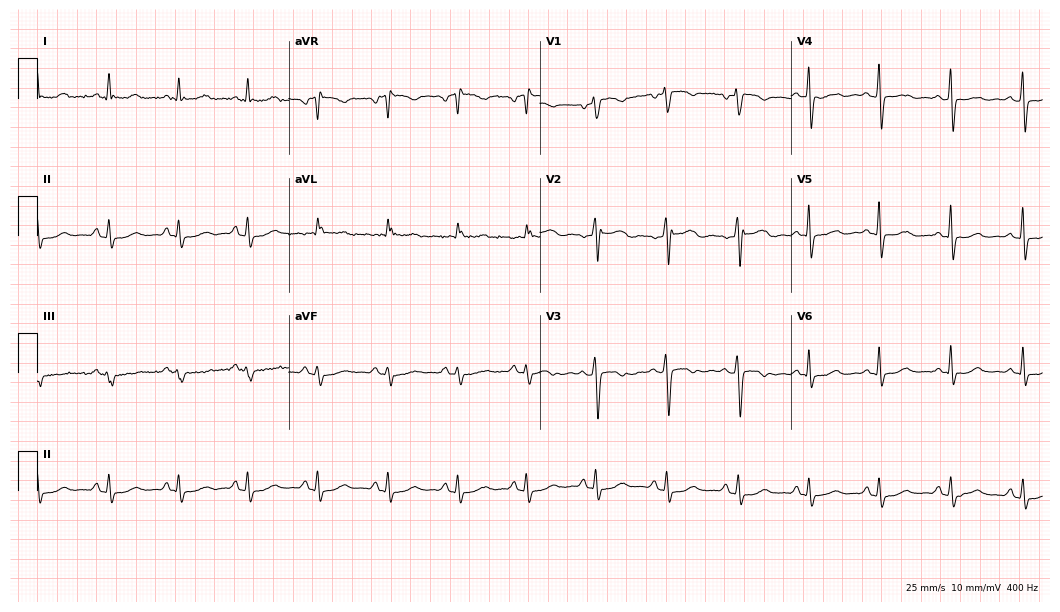
Electrocardiogram (10.2-second recording at 400 Hz), a 41-year-old female patient. Of the six screened findings (first-degree AV block, right bundle branch block, left bundle branch block, sinus bradycardia, atrial fibrillation, sinus tachycardia), none is recorded.